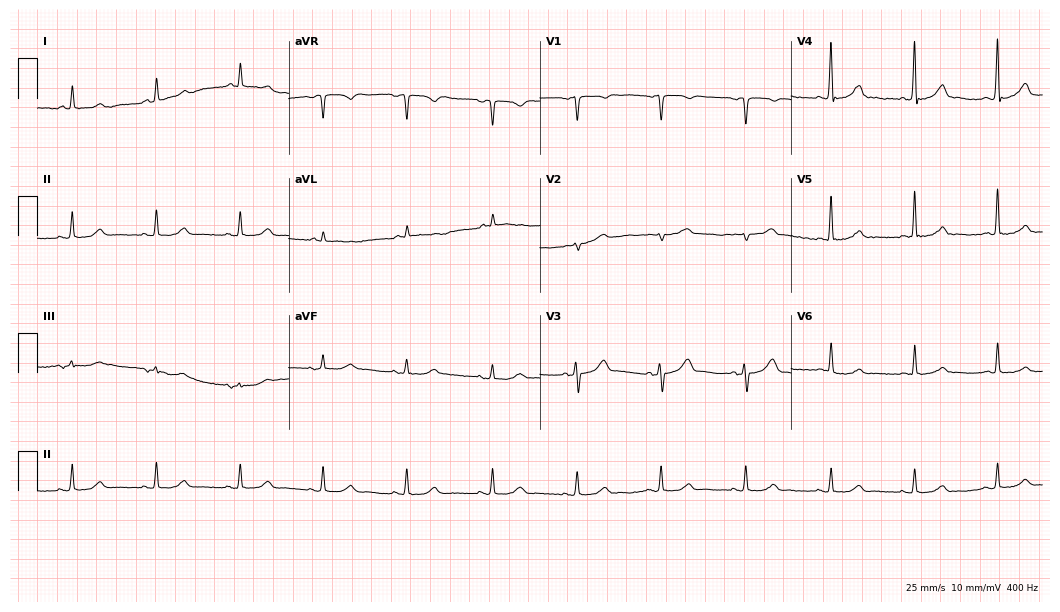
ECG (10.2-second recording at 400 Hz) — a male, 61 years old. Labelled as a normal ECG.